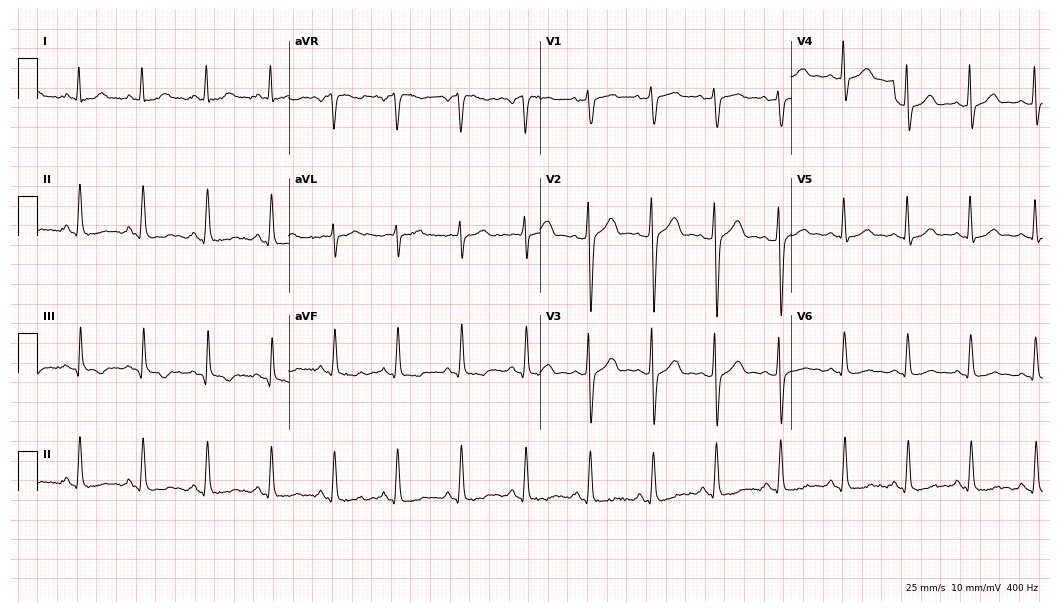
Resting 12-lead electrocardiogram (10.2-second recording at 400 Hz). Patient: a 27-year-old woman. None of these six findings is recorded: first-degree AV block, right bundle branch block, left bundle branch block, sinus bradycardia, atrial fibrillation, sinus tachycardia. Other findings, if any, are not listed.